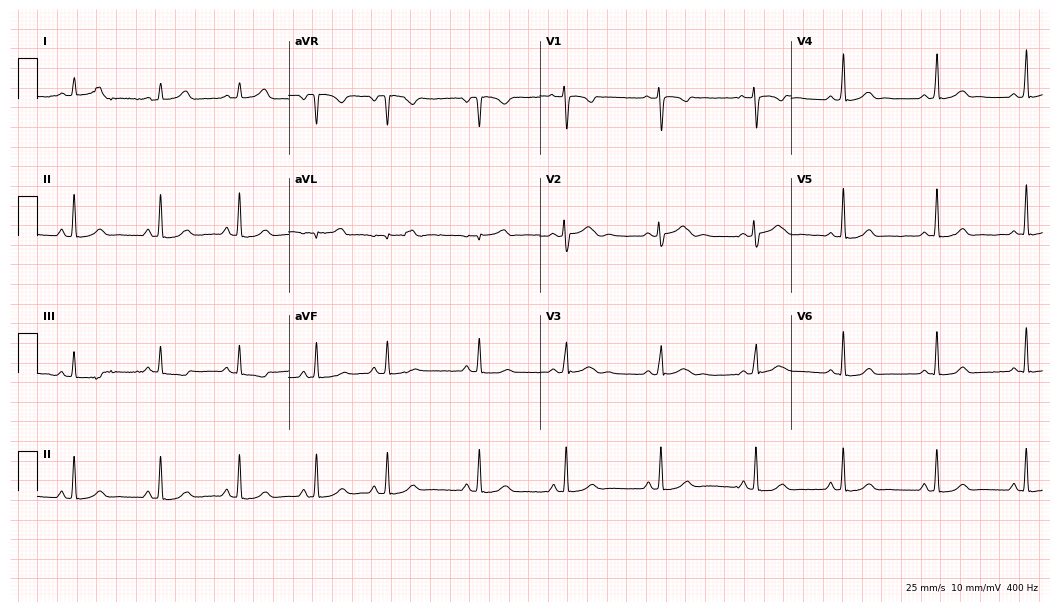
12-lead ECG from a female, 18 years old. Labelled as a normal ECG.